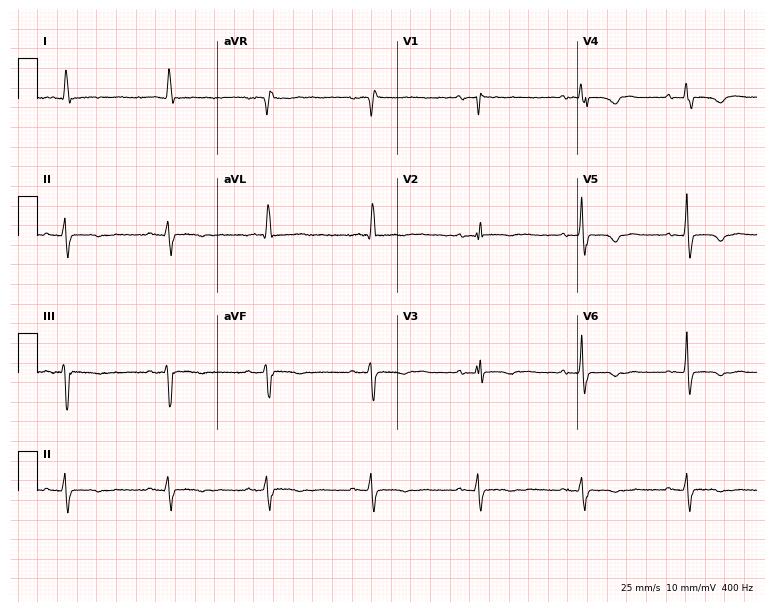
Electrocardiogram (7.3-second recording at 400 Hz), a woman, 51 years old. Of the six screened findings (first-degree AV block, right bundle branch block, left bundle branch block, sinus bradycardia, atrial fibrillation, sinus tachycardia), none is recorded. Only these six findings were labelled.